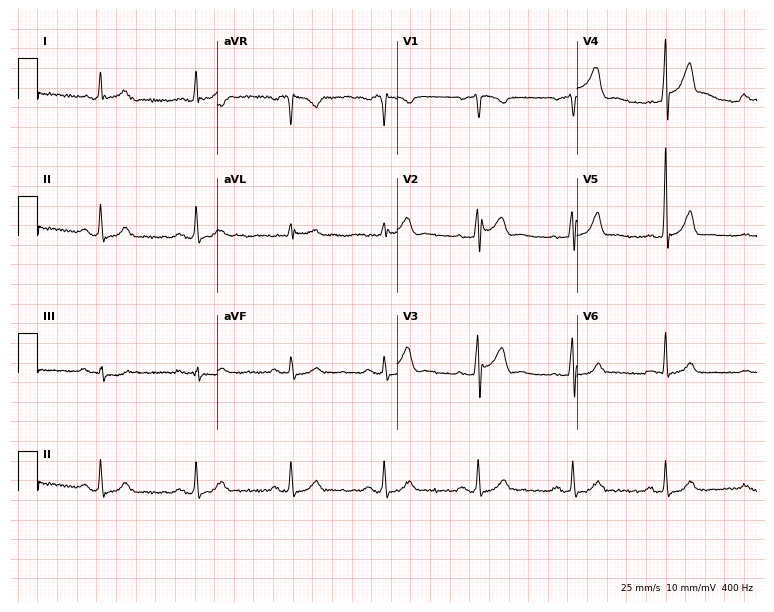
12-lead ECG from a male, 44 years old. Recorded interpretation: within normal limits.